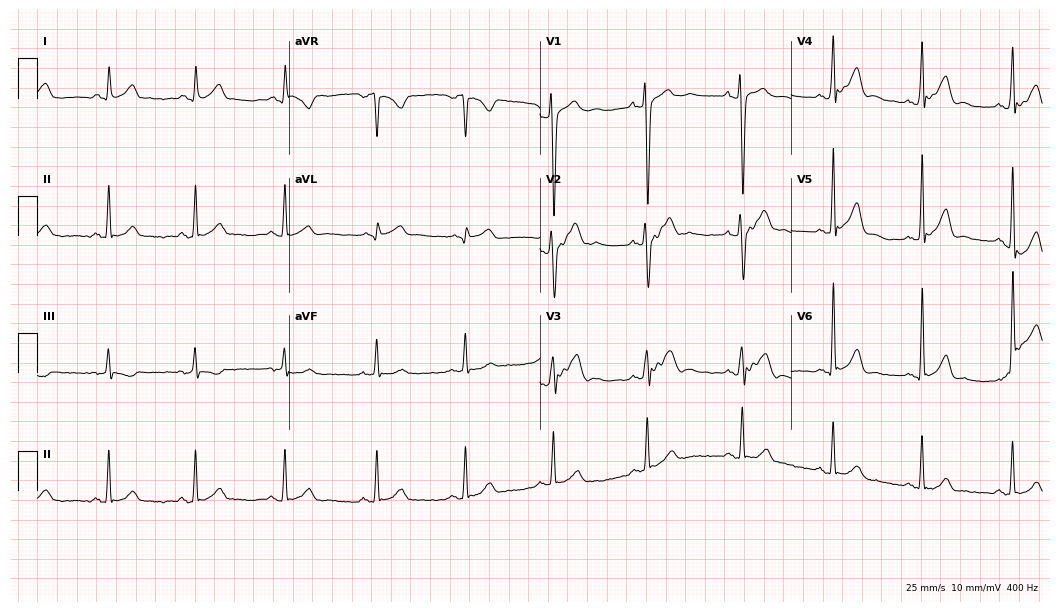
Resting 12-lead electrocardiogram (10.2-second recording at 400 Hz). Patient: a man, 27 years old. None of these six findings is recorded: first-degree AV block, right bundle branch block (RBBB), left bundle branch block (LBBB), sinus bradycardia, atrial fibrillation (AF), sinus tachycardia. Other findings, if any, are not listed.